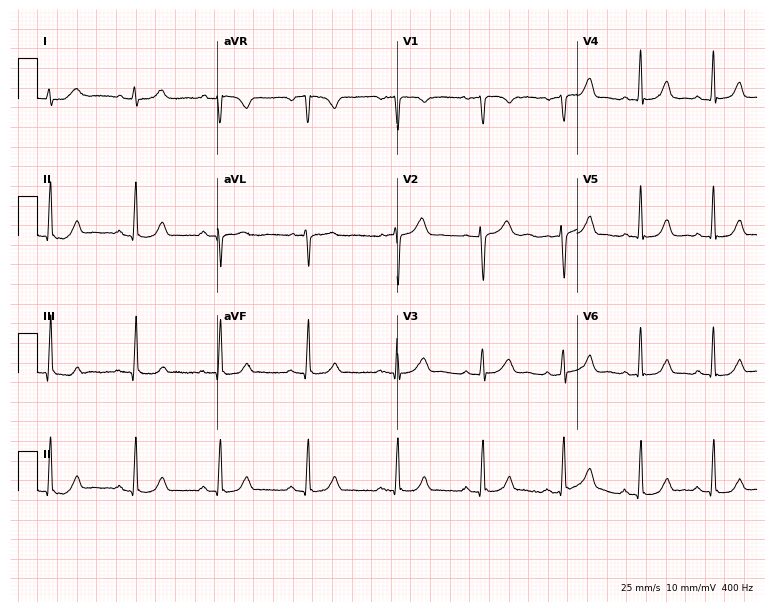
12-lead ECG from a female patient, 33 years old. Recorded interpretation: within normal limits.